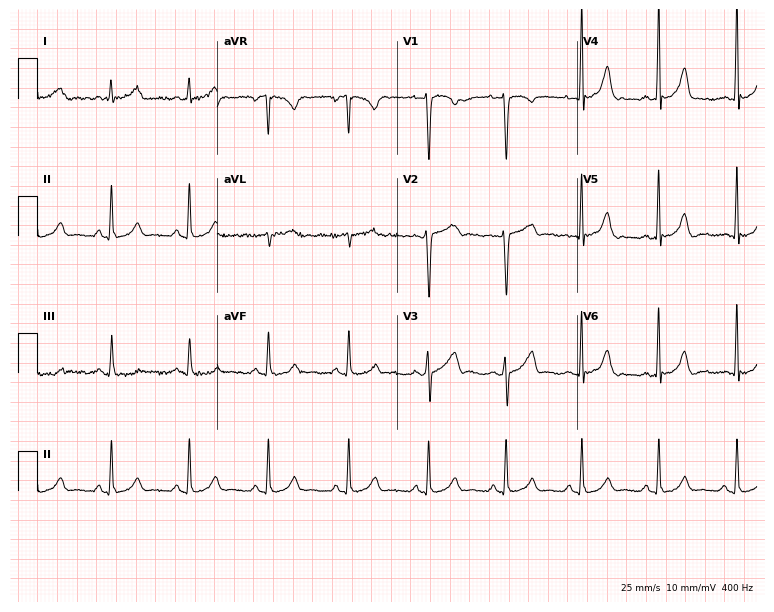
12-lead ECG from a female patient, 39 years old. Screened for six findings — first-degree AV block, right bundle branch block (RBBB), left bundle branch block (LBBB), sinus bradycardia, atrial fibrillation (AF), sinus tachycardia — none is recorded. Findings outside these six are not listed.